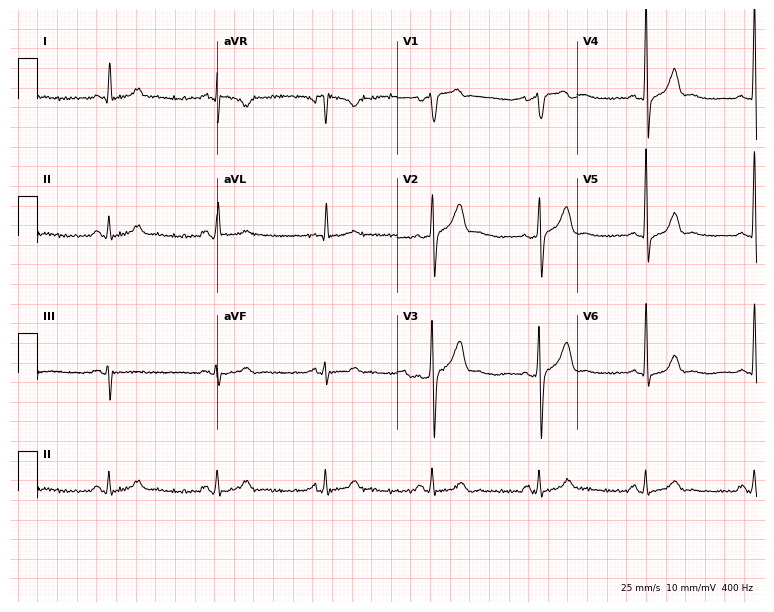
Standard 12-lead ECG recorded from a 67-year-old male. Read as a normal ECG.